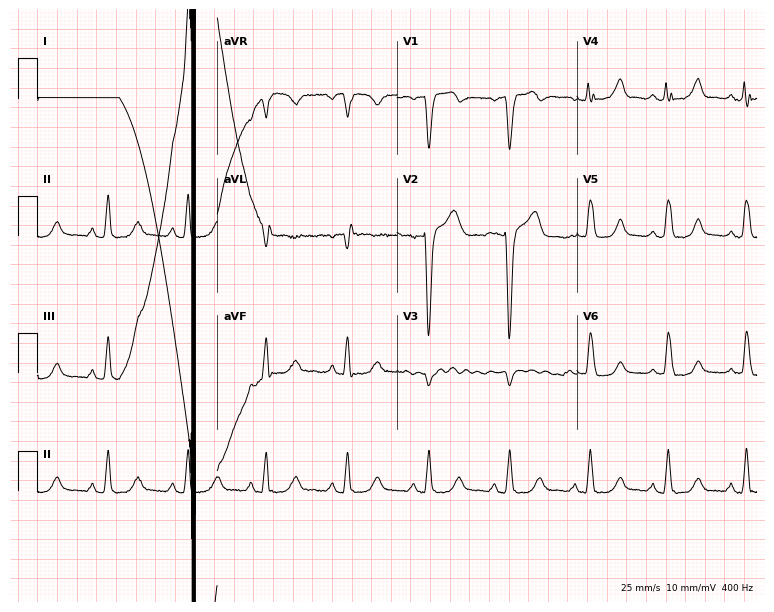
ECG — a female patient, 56 years old. Screened for six findings — first-degree AV block, right bundle branch block, left bundle branch block, sinus bradycardia, atrial fibrillation, sinus tachycardia — none is recorded. Only these six findings were labelled.